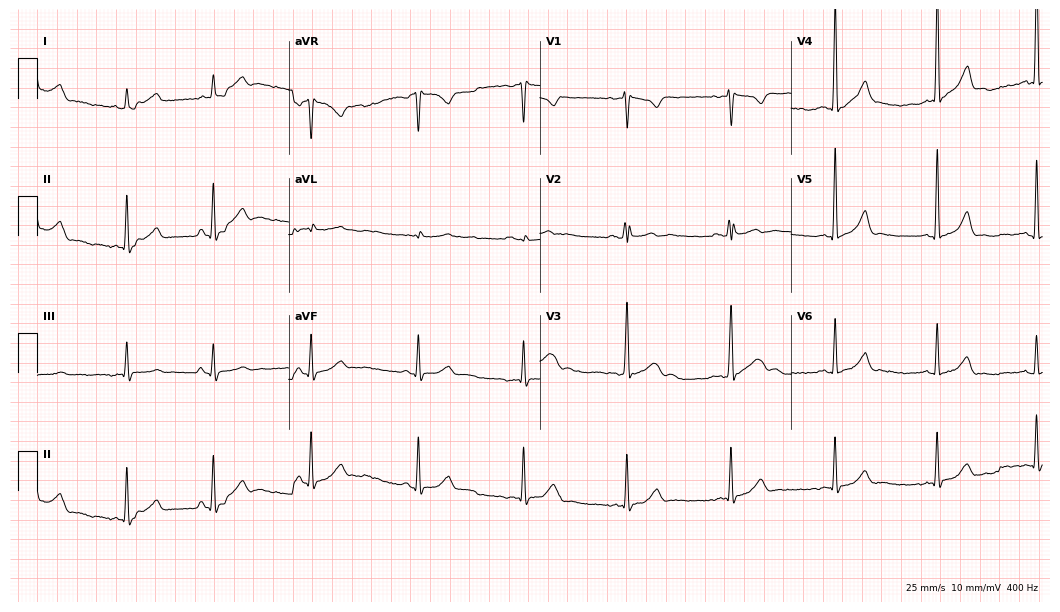
Resting 12-lead electrocardiogram (10.2-second recording at 400 Hz). Patient: a 41-year-old male. None of these six findings is recorded: first-degree AV block, right bundle branch block, left bundle branch block, sinus bradycardia, atrial fibrillation, sinus tachycardia. Only these six findings were labelled.